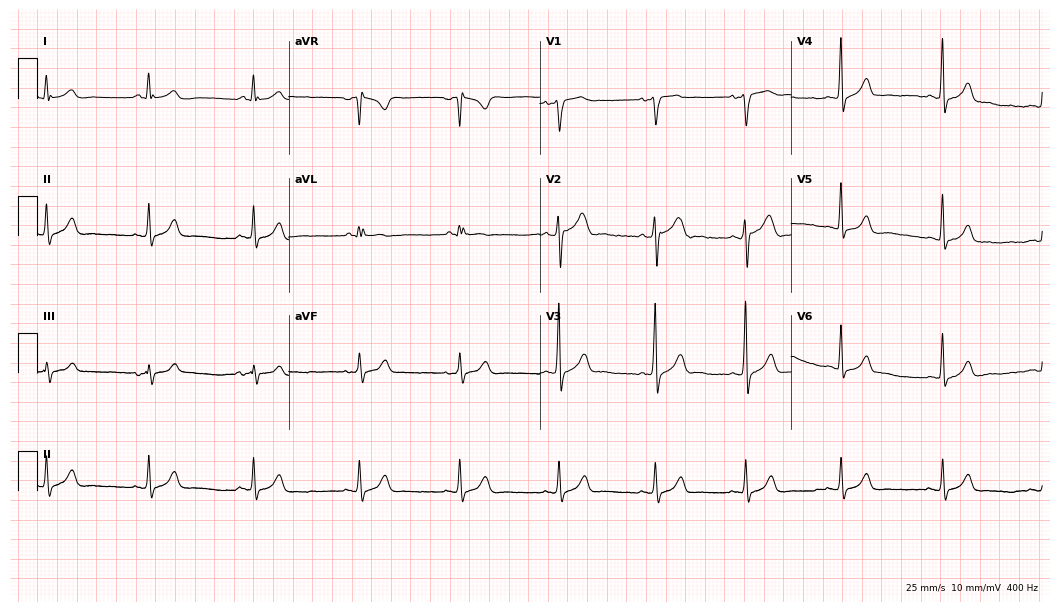
Resting 12-lead electrocardiogram. Patient: a 23-year-old male. Read as a normal ECG.